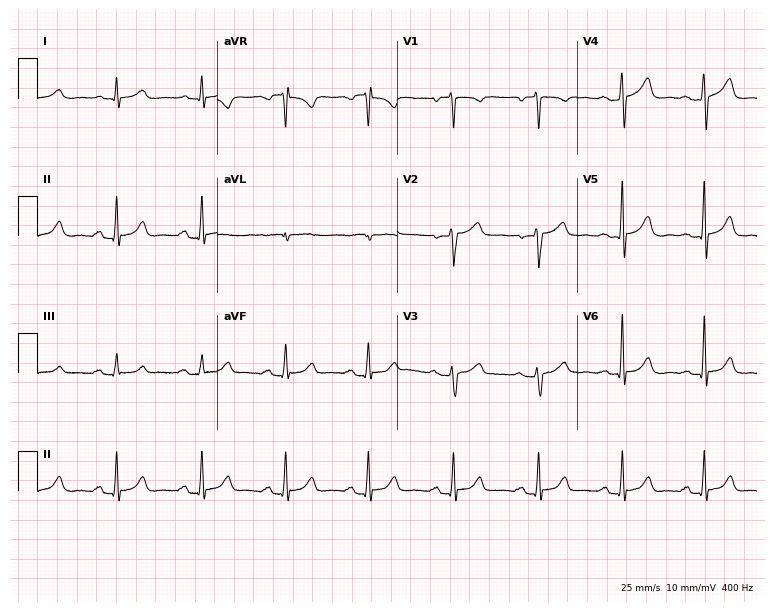
12-lead ECG from a male patient, 51 years old (7.3-second recording at 400 Hz). No first-degree AV block, right bundle branch block (RBBB), left bundle branch block (LBBB), sinus bradycardia, atrial fibrillation (AF) or sinus tachycardia recorded for this tracing.